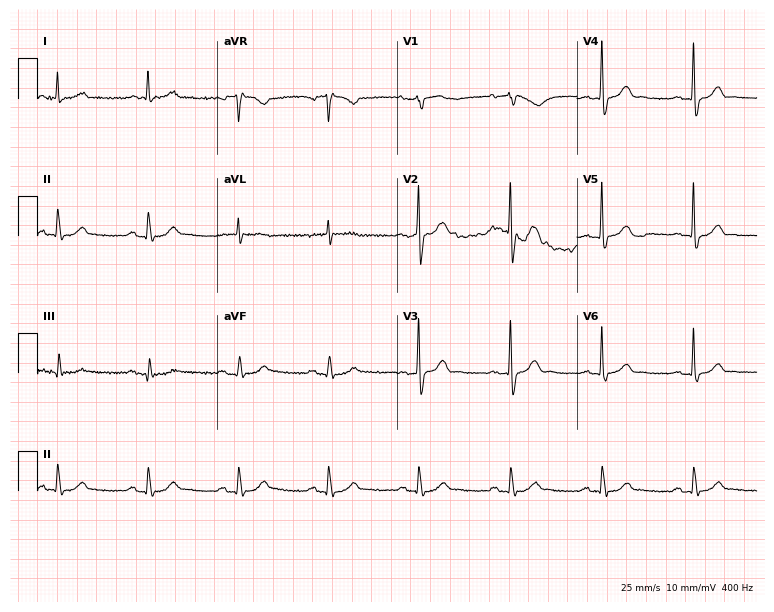
12-lead ECG from a 75-year-old male. Labelled as a normal ECG.